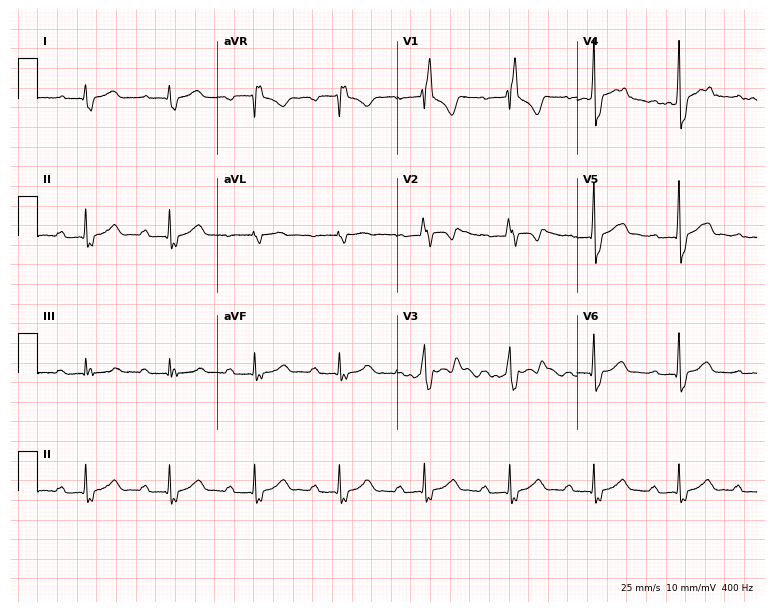
12-lead ECG from a man, 39 years old. Shows first-degree AV block, right bundle branch block.